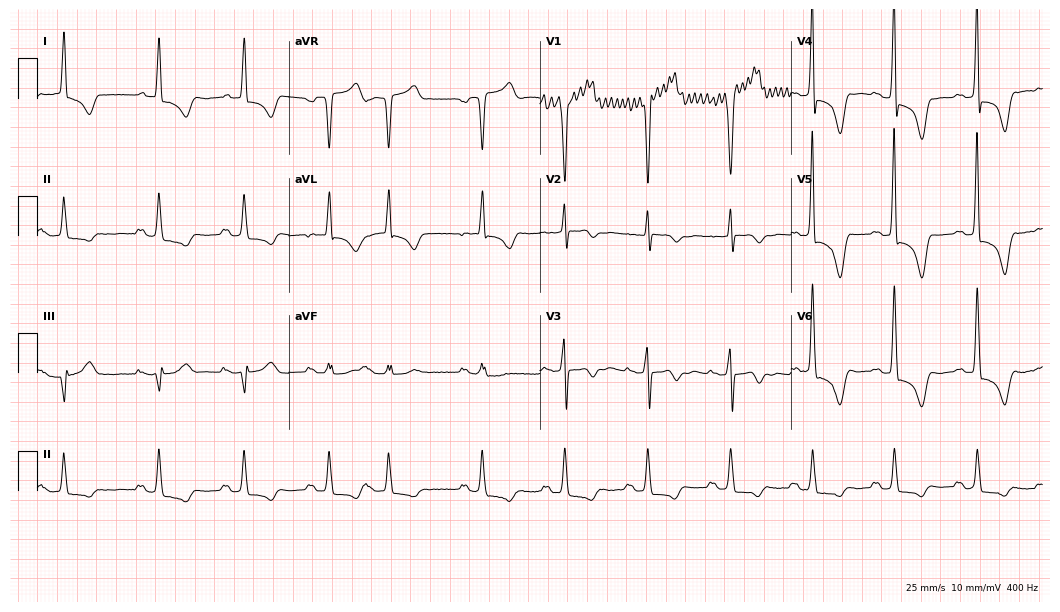
12-lead ECG from a 67-year-old man. Shows first-degree AV block.